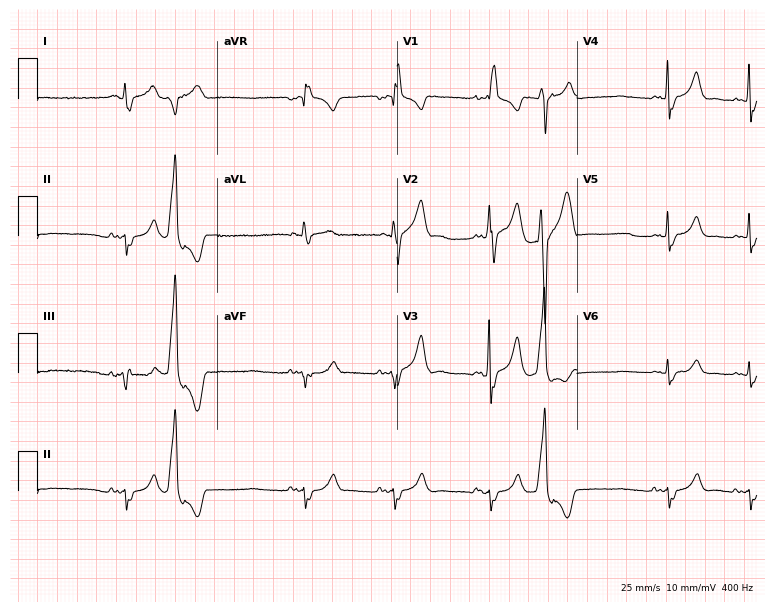
12-lead ECG (7.3-second recording at 400 Hz) from a 71-year-old man. Findings include right bundle branch block.